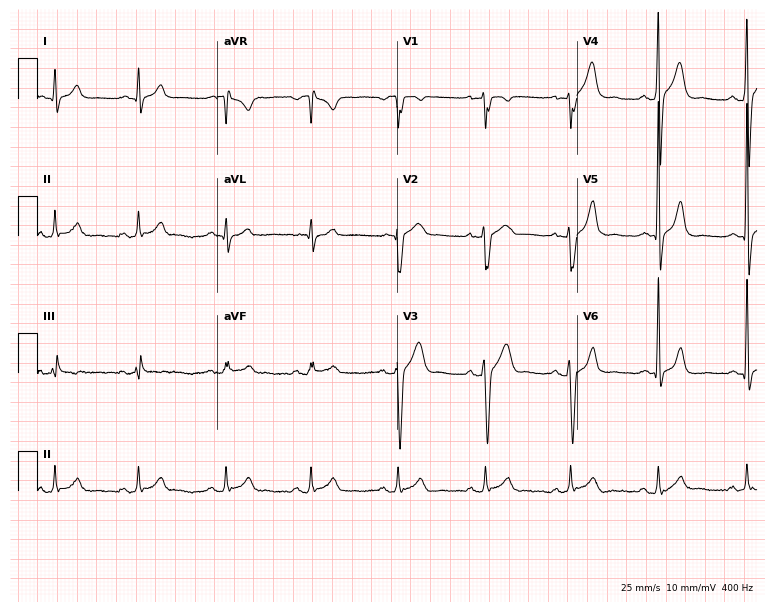
Resting 12-lead electrocardiogram. Patient: a male, 35 years old. Read as a normal ECG.